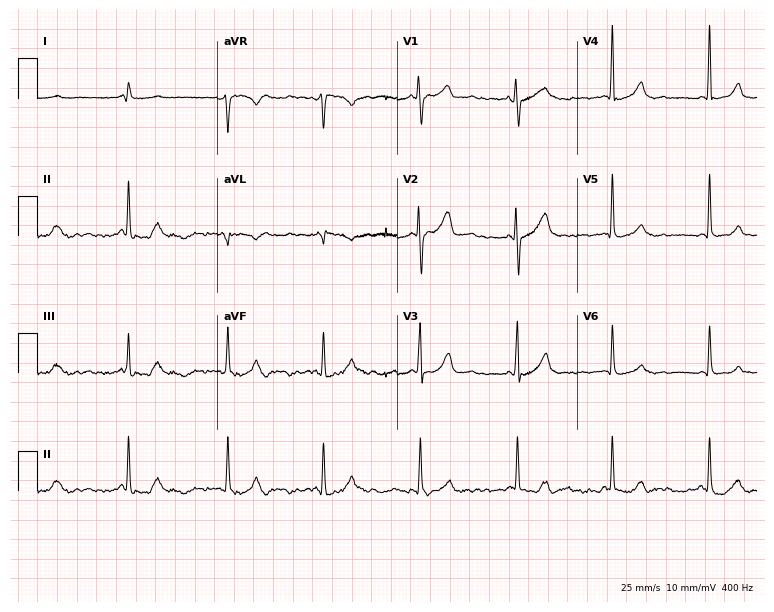
12-lead ECG (7.3-second recording at 400 Hz) from a 45-year-old female. Screened for six findings — first-degree AV block, right bundle branch block, left bundle branch block, sinus bradycardia, atrial fibrillation, sinus tachycardia — none is recorded. Only these six findings were labelled.